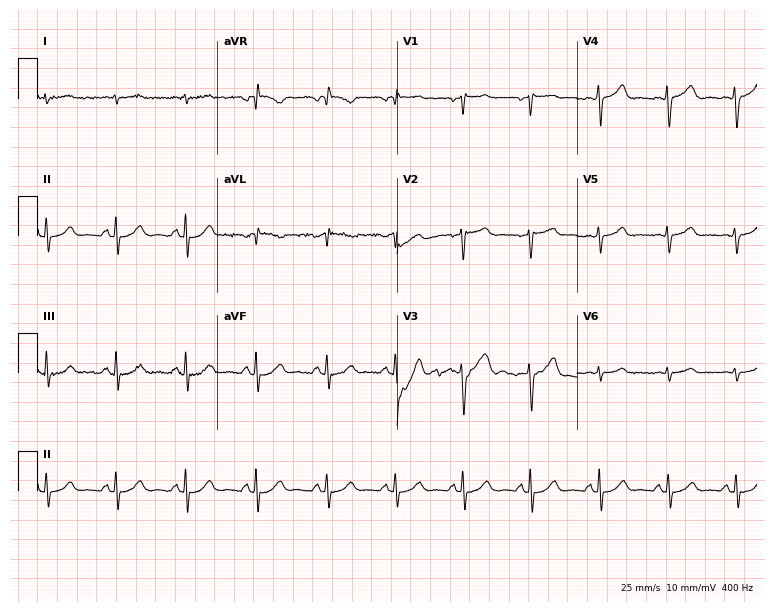
12-lead ECG from a man, 55 years old (7.3-second recording at 400 Hz). No first-degree AV block, right bundle branch block (RBBB), left bundle branch block (LBBB), sinus bradycardia, atrial fibrillation (AF) or sinus tachycardia recorded for this tracing.